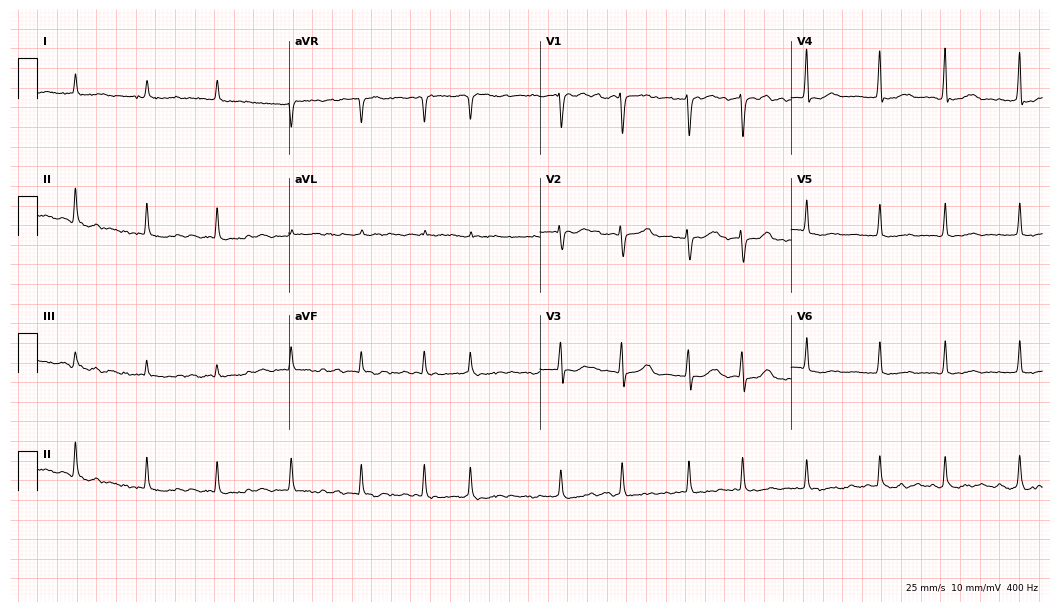
Electrocardiogram, an 84-year-old male. Interpretation includes atrial fibrillation (AF).